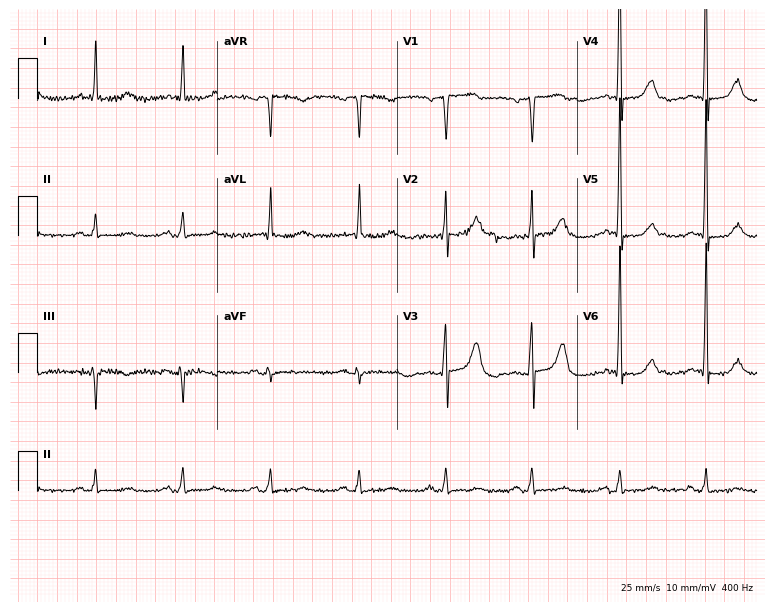
ECG — a female, 57 years old. Labelled as a normal ECG.